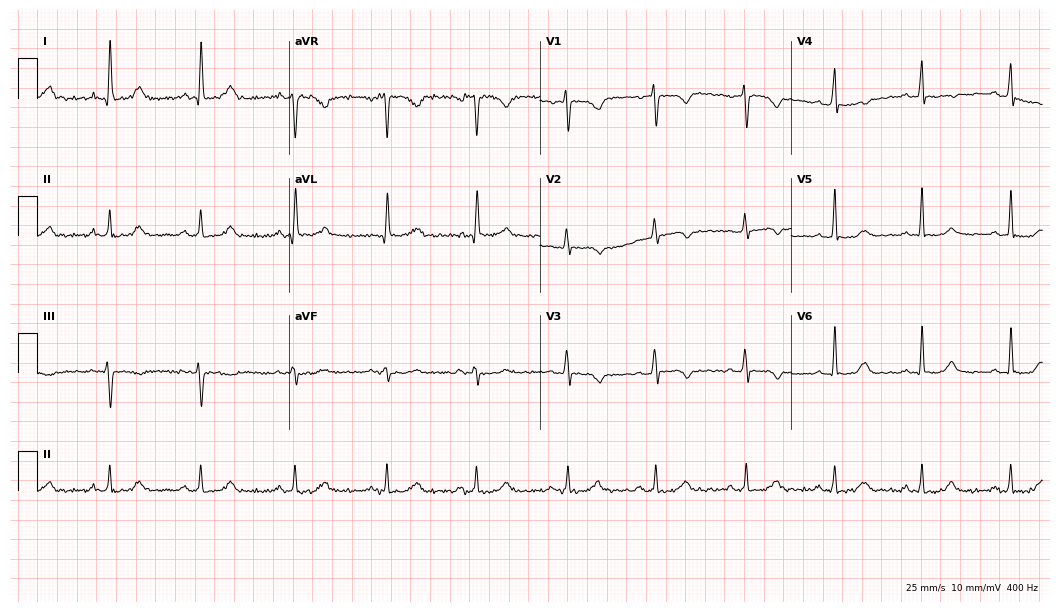
ECG — a woman, 50 years old. Screened for six findings — first-degree AV block, right bundle branch block, left bundle branch block, sinus bradycardia, atrial fibrillation, sinus tachycardia — none is recorded. Other findings, if any, are not listed.